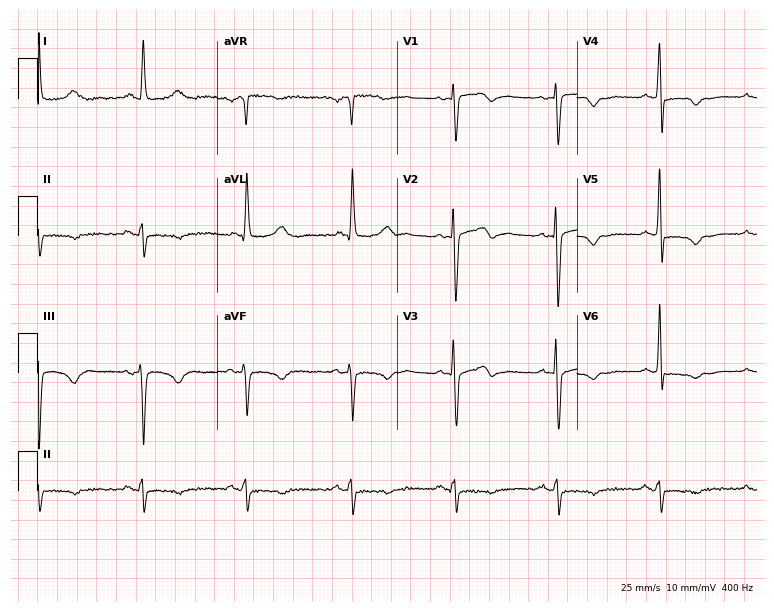
12-lead ECG from a 76-year-old woman. No first-degree AV block, right bundle branch block, left bundle branch block, sinus bradycardia, atrial fibrillation or sinus tachycardia recorded for this tracing. Only these six findings were labelled.